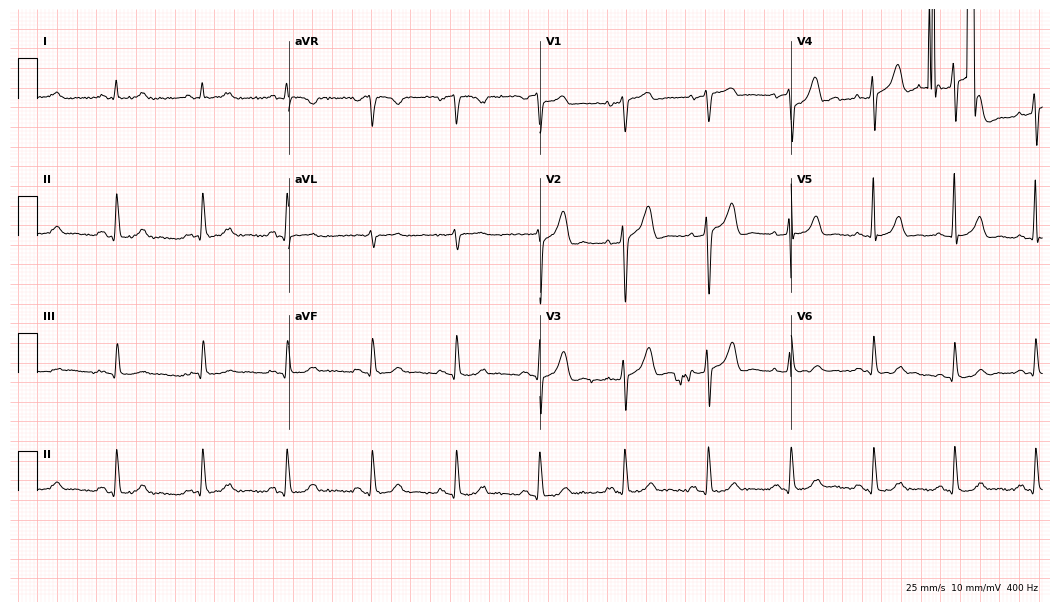
Standard 12-lead ECG recorded from a 53-year-old male patient (10.2-second recording at 400 Hz). None of these six findings is recorded: first-degree AV block, right bundle branch block, left bundle branch block, sinus bradycardia, atrial fibrillation, sinus tachycardia. Other findings, if any, are not listed.